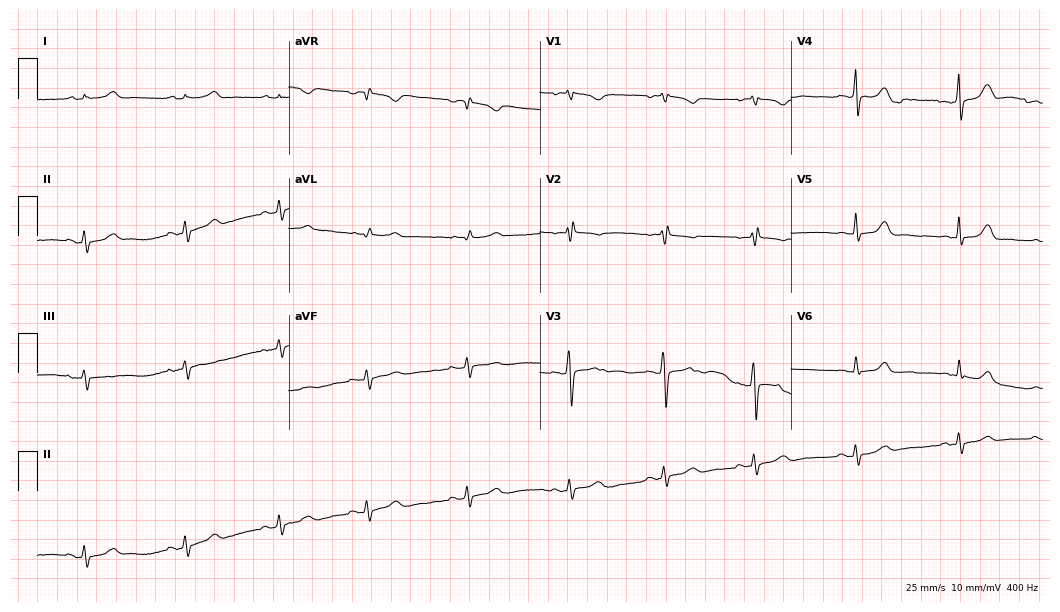
Resting 12-lead electrocardiogram (10.2-second recording at 400 Hz). Patient: a woman, 25 years old. None of these six findings is recorded: first-degree AV block, right bundle branch block, left bundle branch block, sinus bradycardia, atrial fibrillation, sinus tachycardia. Only these six findings were labelled.